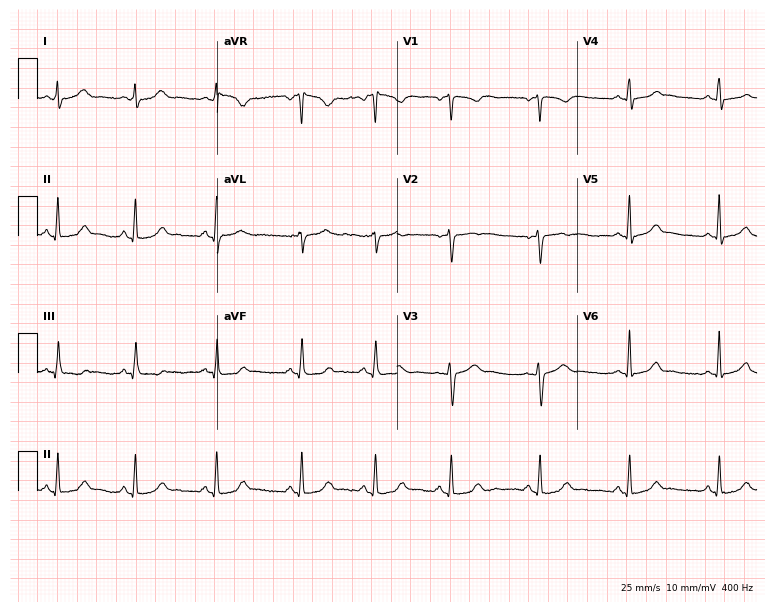
ECG — a woman, 25 years old. Labelled as a normal ECG.